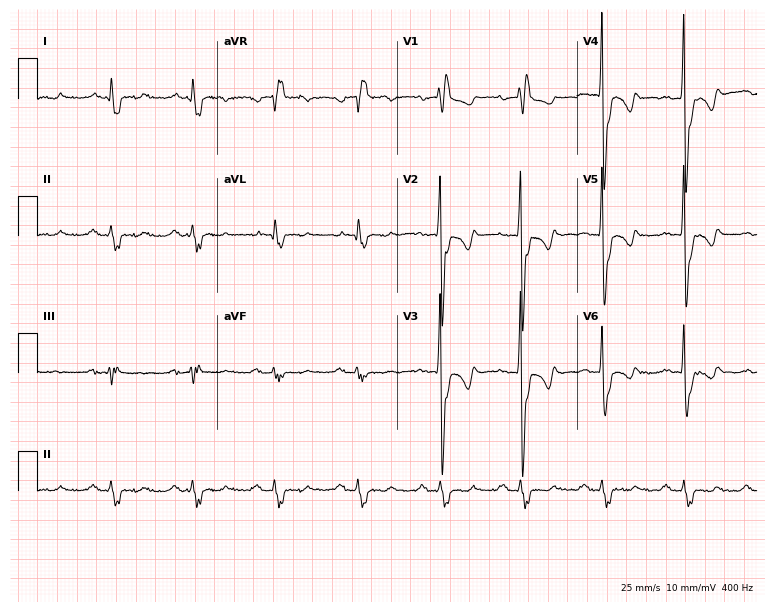
ECG — an 83-year-old man. Screened for six findings — first-degree AV block, right bundle branch block, left bundle branch block, sinus bradycardia, atrial fibrillation, sinus tachycardia — none is recorded. Other findings, if any, are not listed.